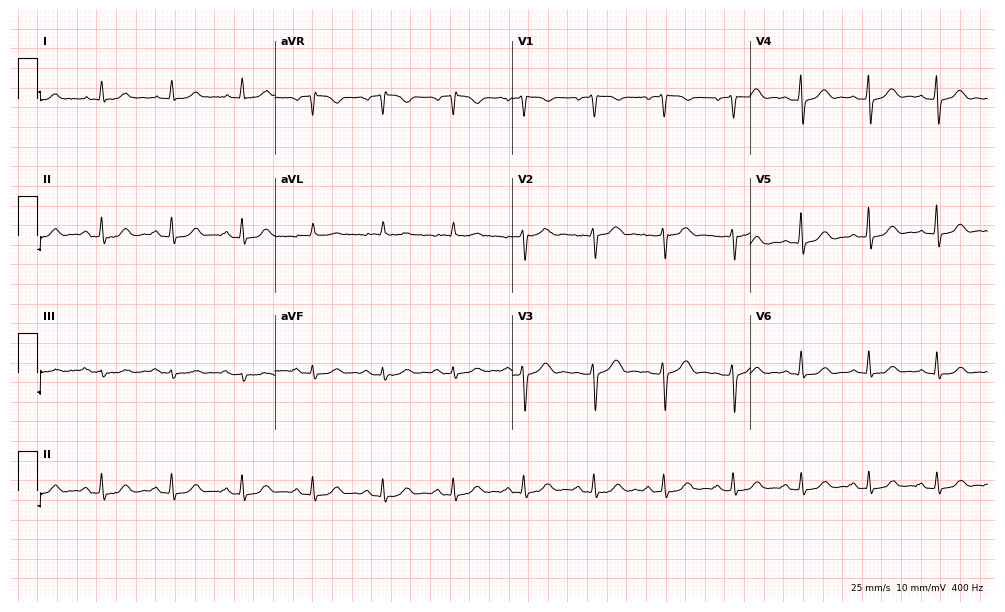
Standard 12-lead ECG recorded from a woman, 69 years old (9.7-second recording at 400 Hz). Read as a normal ECG.